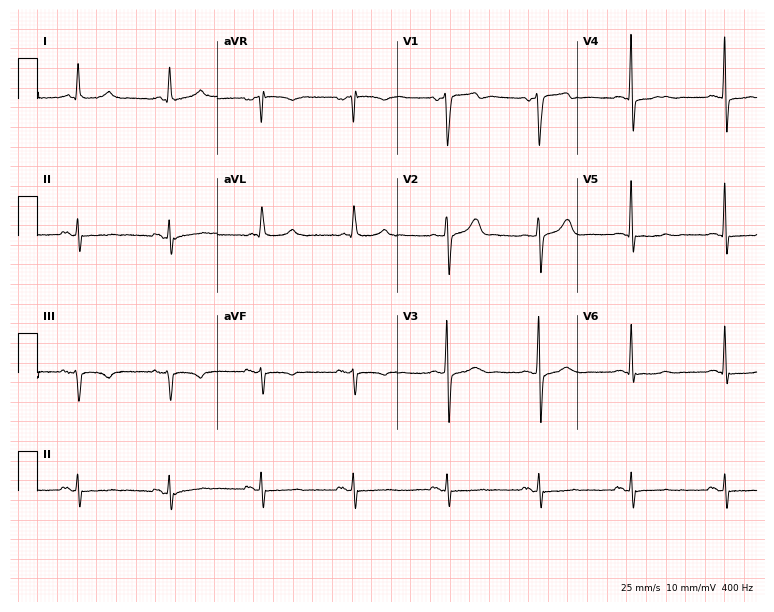
Standard 12-lead ECG recorded from a male patient, 82 years old (7.3-second recording at 400 Hz). Read as a normal ECG.